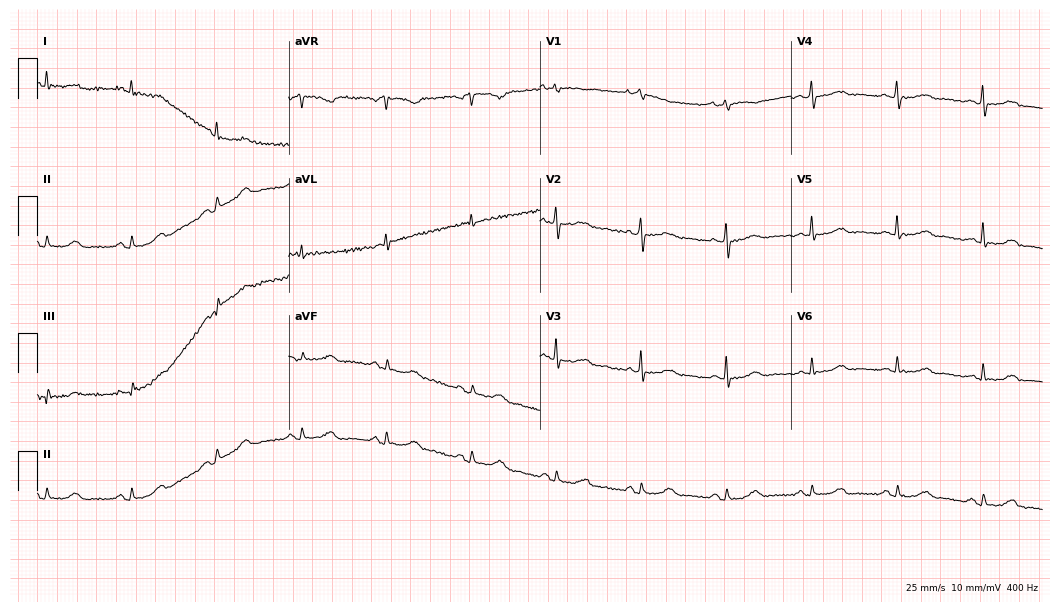
Standard 12-lead ECG recorded from a female, 62 years old (10.2-second recording at 400 Hz). None of these six findings is recorded: first-degree AV block, right bundle branch block, left bundle branch block, sinus bradycardia, atrial fibrillation, sinus tachycardia. Findings outside these six are not listed.